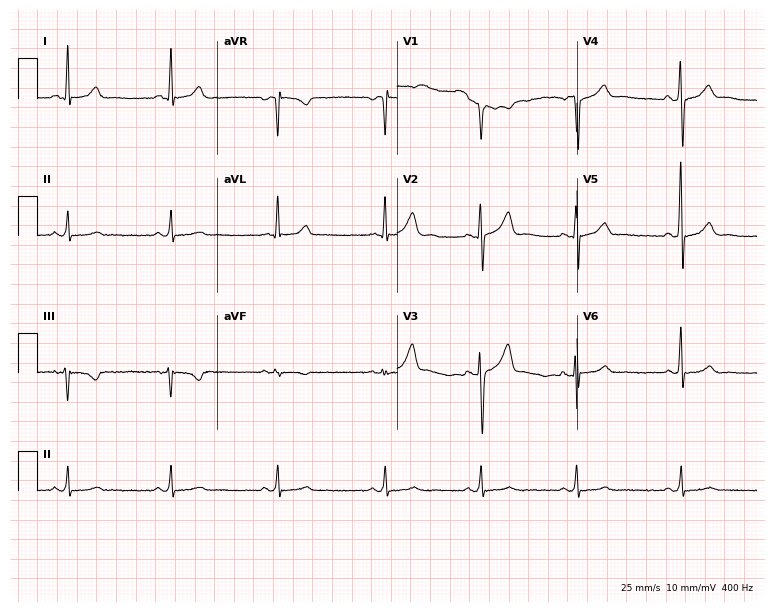
12-lead ECG from a 44-year-old man. Recorded interpretation: within normal limits.